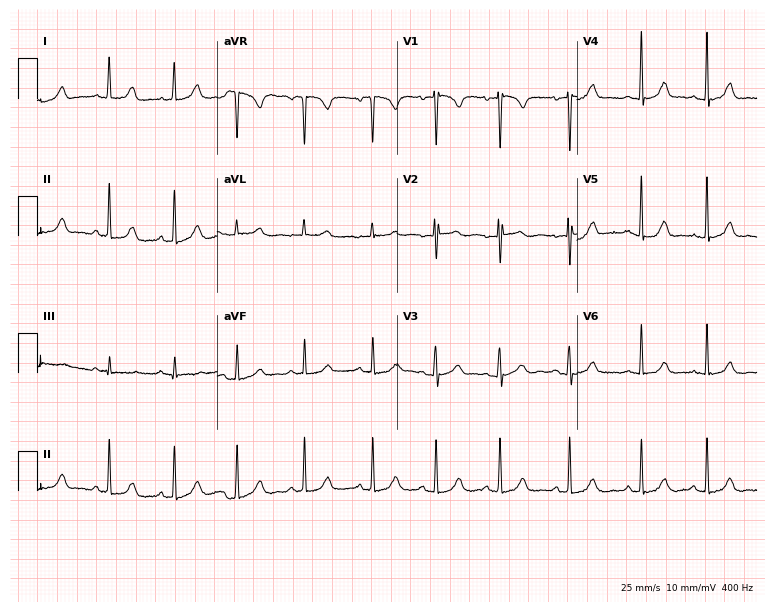
Electrocardiogram, a female, 17 years old. Overall reading on record: normal ECG.